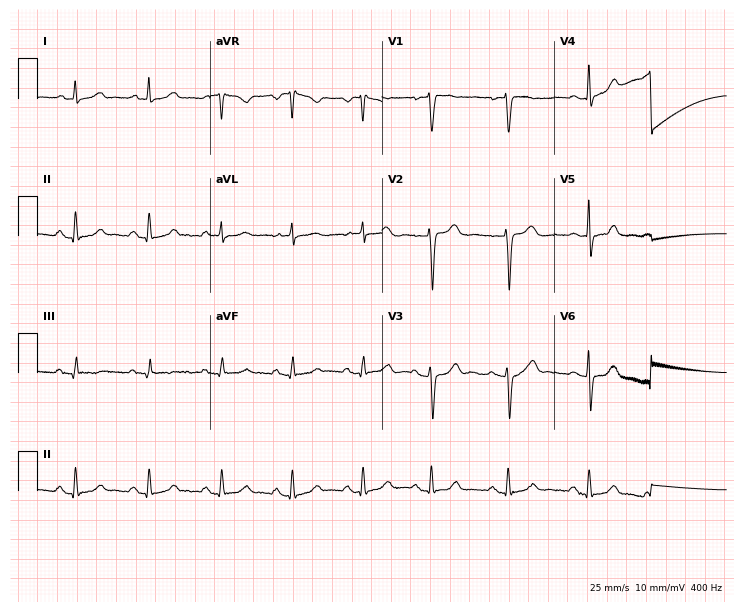
Standard 12-lead ECG recorded from a female patient, 43 years old. Read as a normal ECG.